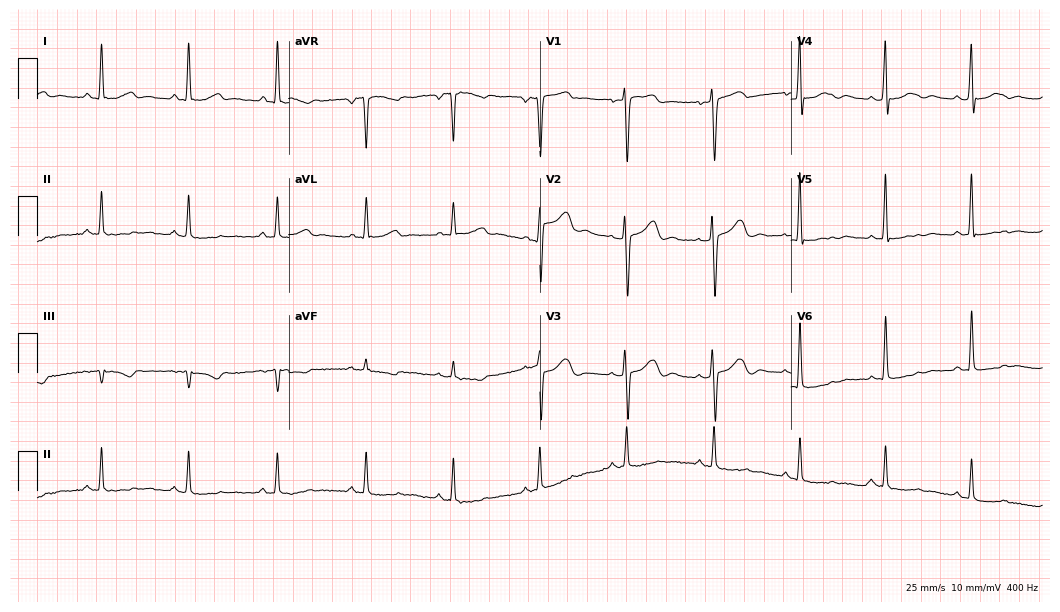
Standard 12-lead ECG recorded from a female, 51 years old (10.2-second recording at 400 Hz). None of these six findings is recorded: first-degree AV block, right bundle branch block, left bundle branch block, sinus bradycardia, atrial fibrillation, sinus tachycardia. Findings outside these six are not listed.